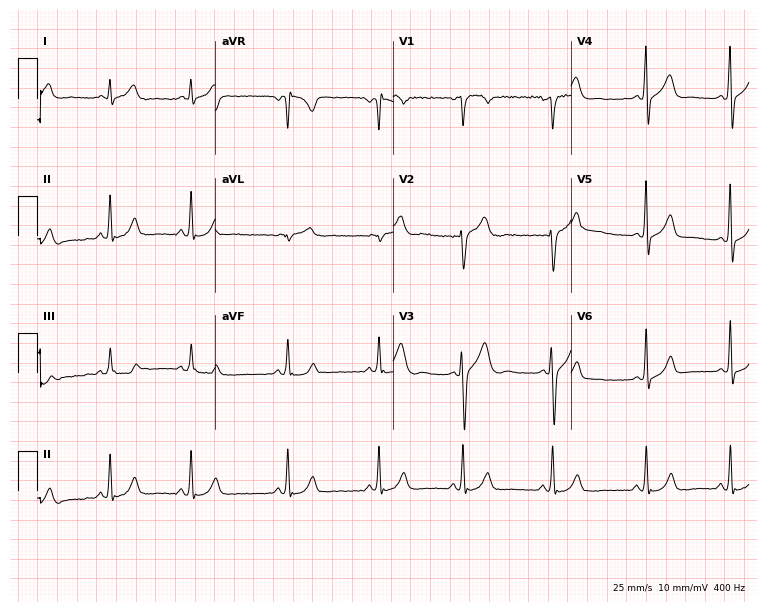
Electrocardiogram (7.3-second recording at 400 Hz), a man, 20 years old. Of the six screened findings (first-degree AV block, right bundle branch block, left bundle branch block, sinus bradycardia, atrial fibrillation, sinus tachycardia), none is recorded.